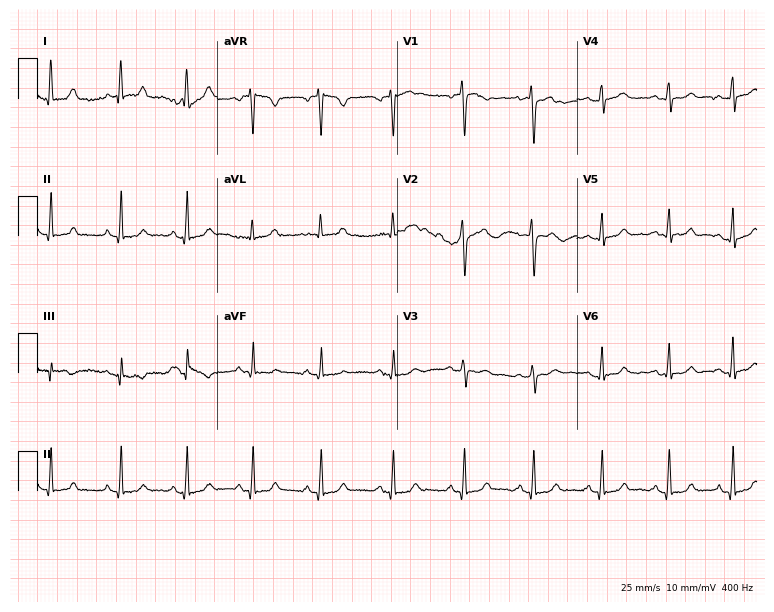
12-lead ECG from a 45-year-old female patient (7.3-second recording at 400 Hz). No first-degree AV block, right bundle branch block (RBBB), left bundle branch block (LBBB), sinus bradycardia, atrial fibrillation (AF) or sinus tachycardia recorded for this tracing. Other findings, if any, are not listed.